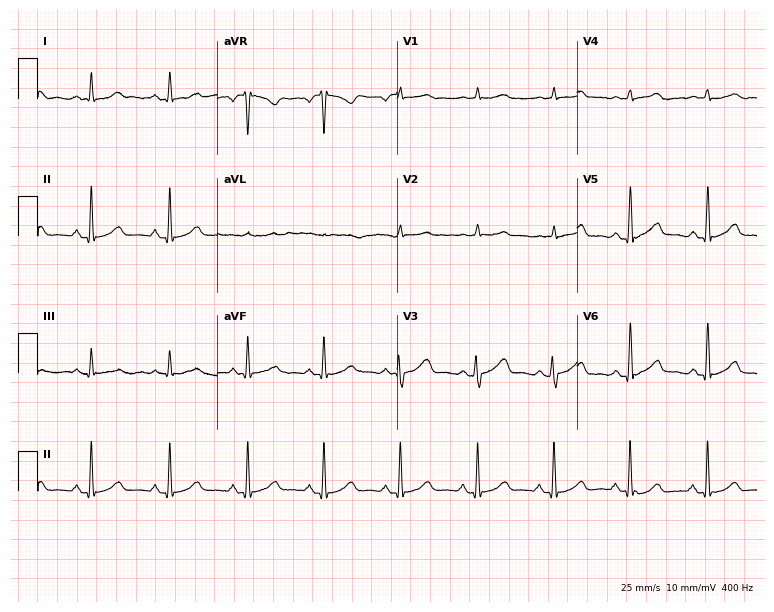
ECG (7.3-second recording at 400 Hz) — a 45-year-old female patient. Screened for six findings — first-degree AV block, right bundle branch block, left bundle branch block, sinus bradycardia, atrial fibrillation, sinus tachycardia — none is recorded. Findings outside these six are not listed.